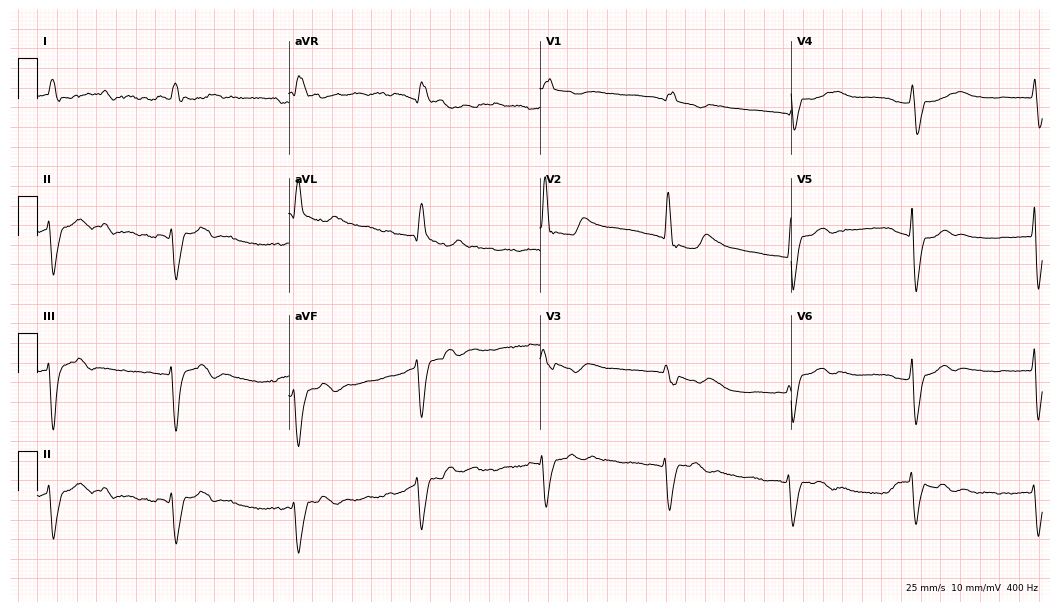
Electrocardiogram, a female patient, 70 years old. Interpretation includes right bundle branch block.